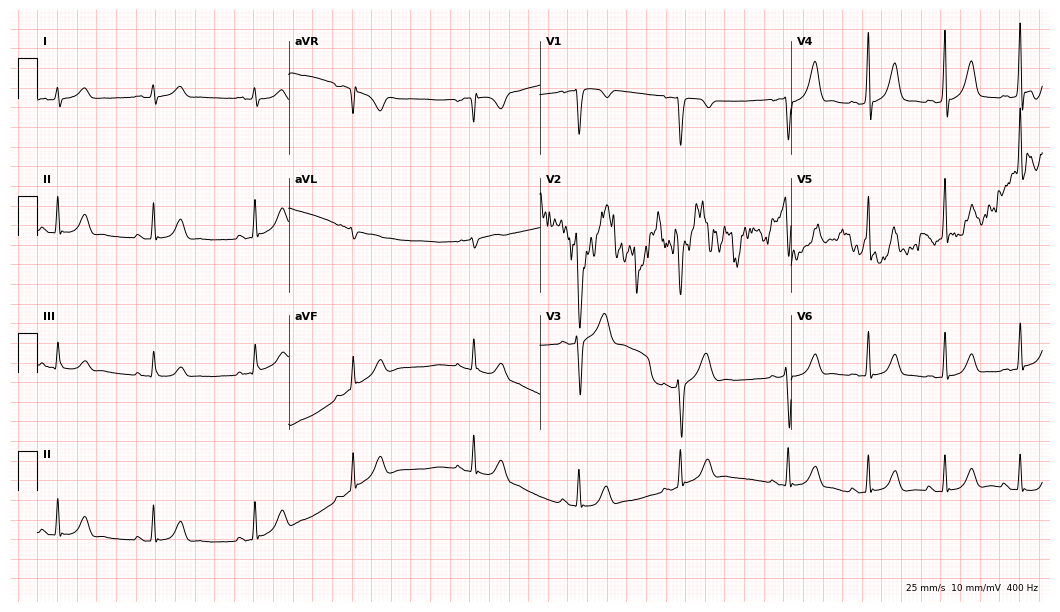
12-lead ECG (10.2-second recording at 400 Hz) from a man, 22 years old. Labelled as a normal ECG.